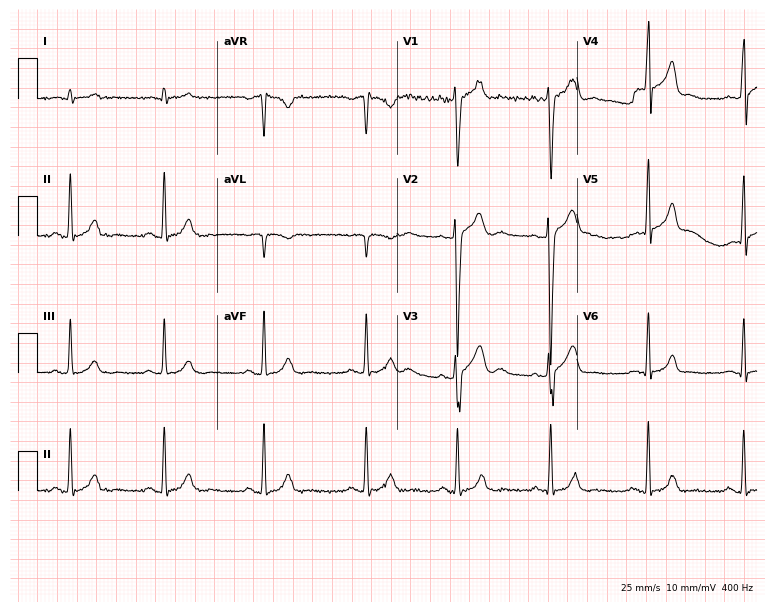
Standard 12-lead ECG recorded from a 21-year-old man (7.3-second recording at 400 Hz). Read as a normal ECG.